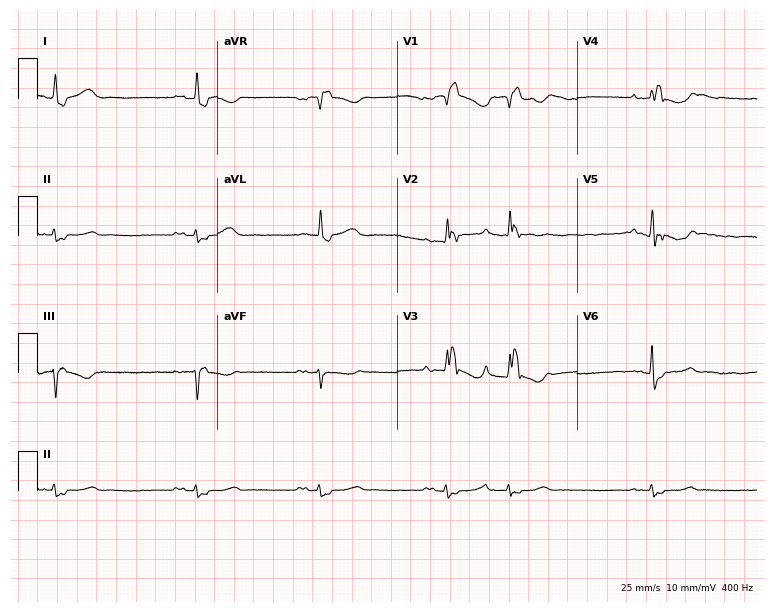
ECG — a male, 77 years old. Findings include right bundle branch block (RBBB), sinus bradycardia (a sinus rate of 50 beats per minute or less).